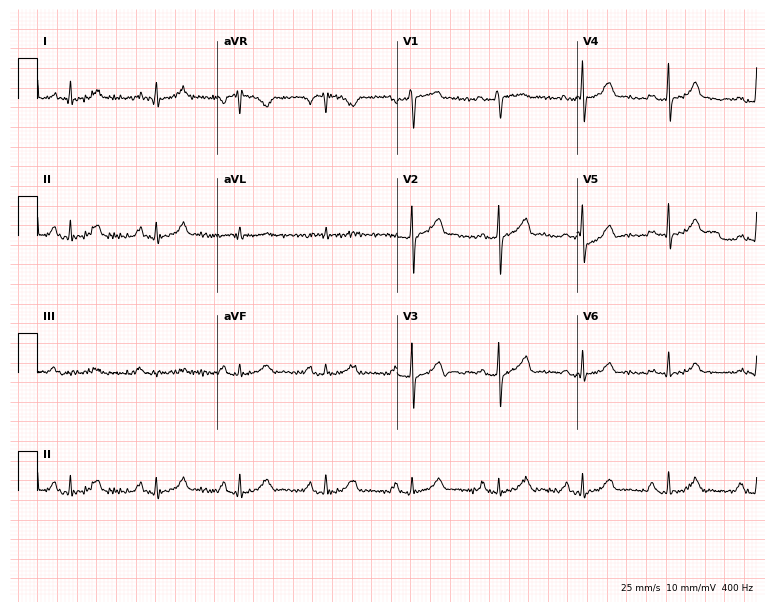
Standard 12-lead ECG recorded from a 56-year-old male patient (7.3-second recording at 400 Hz). Read as a normal ECG.